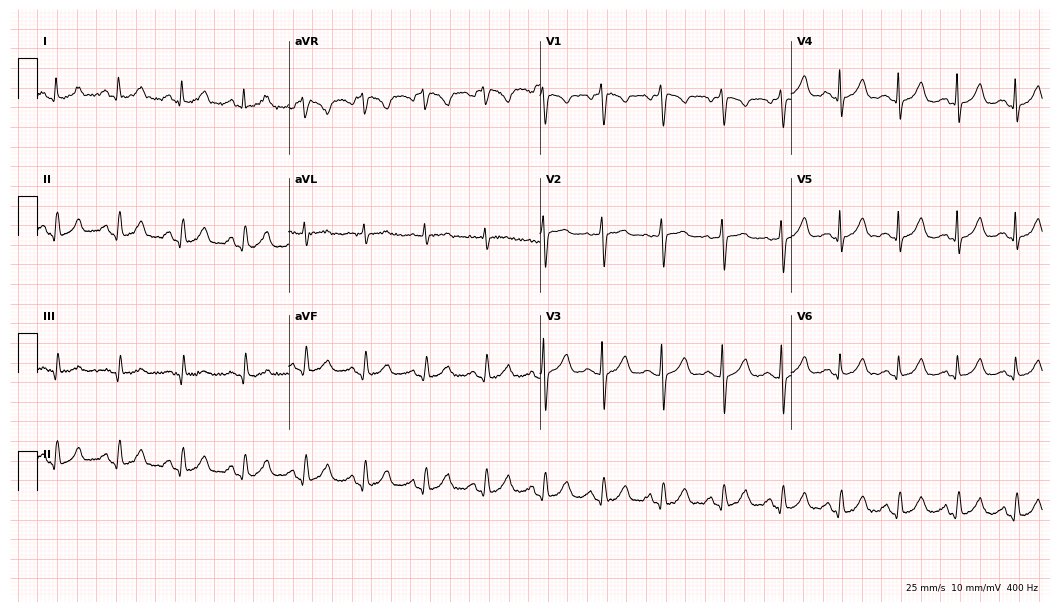
12-lead ECG from a female, 47 years old. Labelled as a normal ECG.